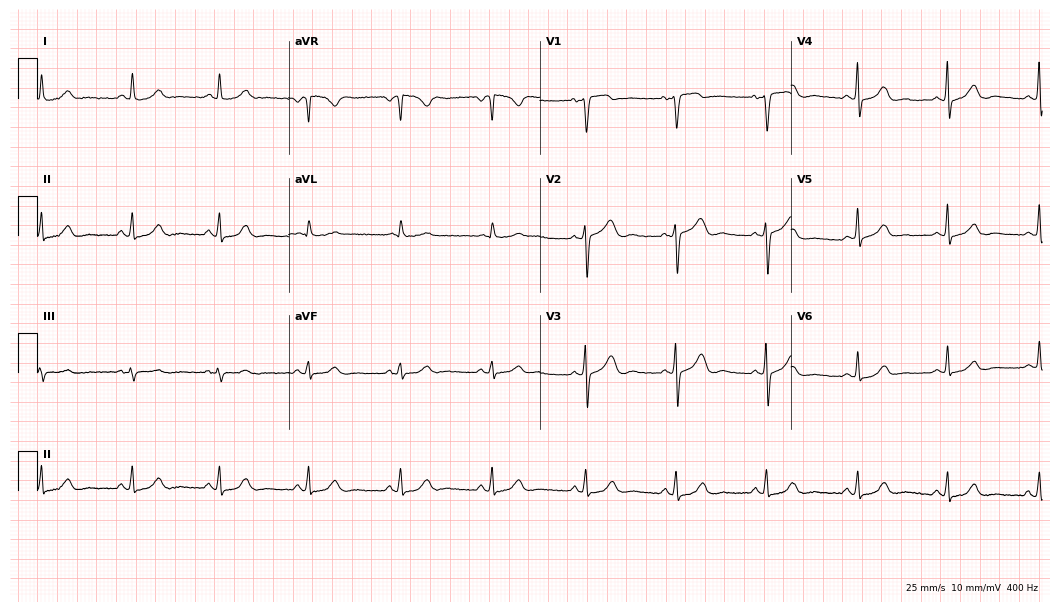
ECG — a 49-year-old female patient. Screened for six findings — first-degree AV block, right bundle branch block, left bundle branch block, sinus bradycardia, atrial fibrillation, sinus tachycardia — none is recorded. Findings outside these six are not listed.